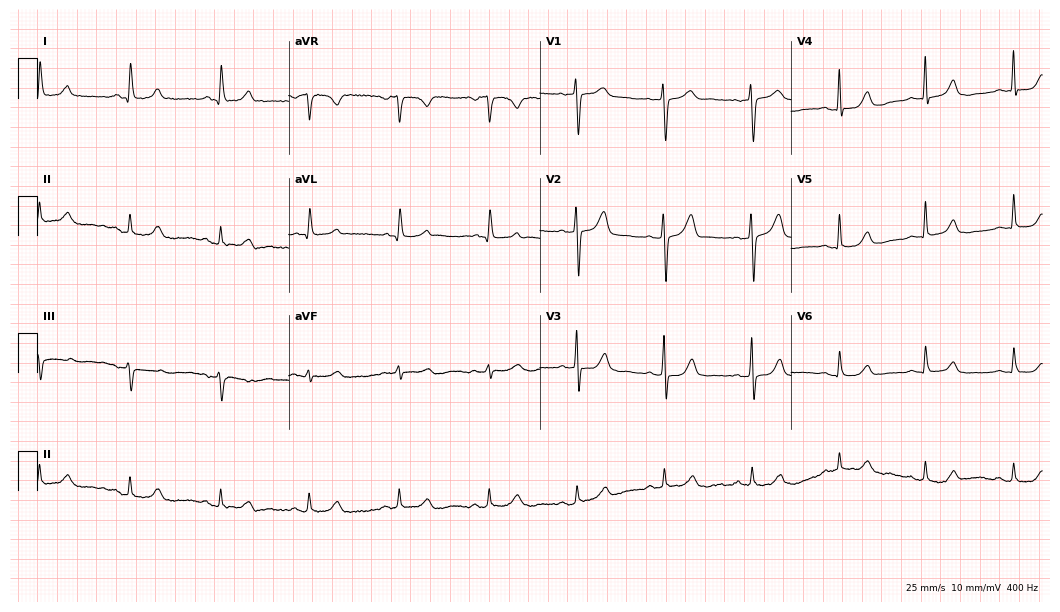
ECG — a 76-year-old female. Labelled as a normal ECG.